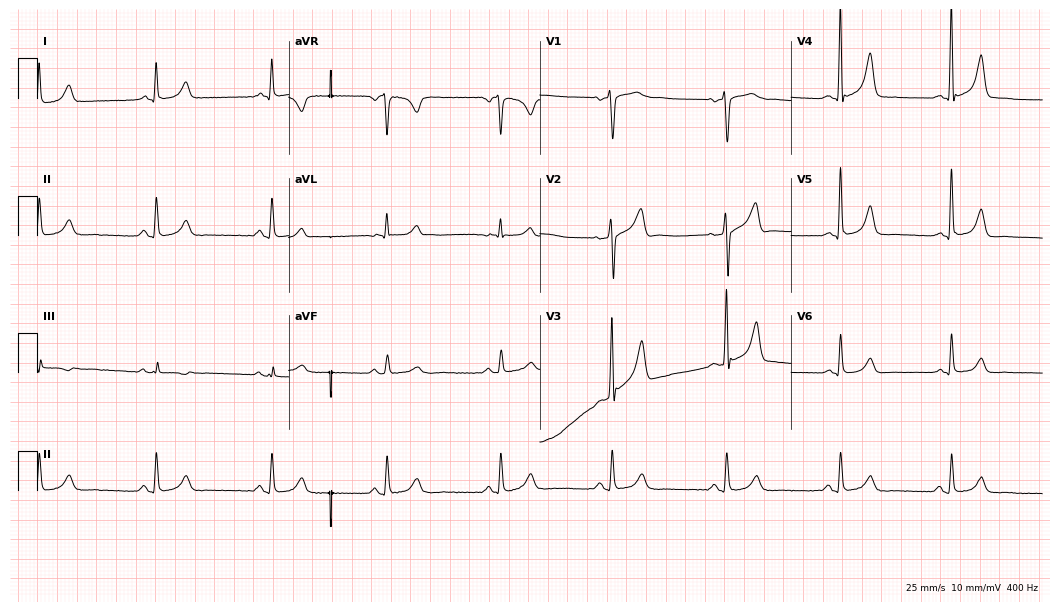
12-lead ECG from a 55-year-old male patient (10.2-second recording at 400 Hz). Recorded interpretation: within normal limits.